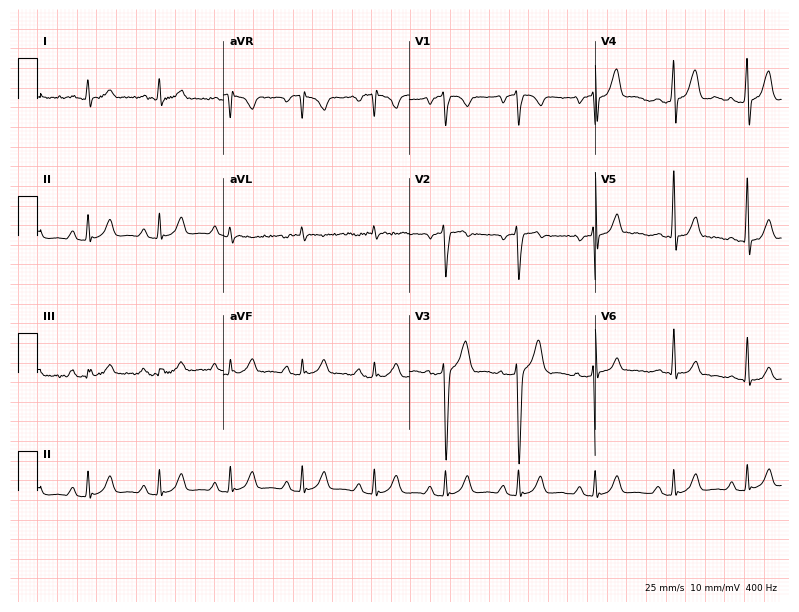
12-lead ECG from a 26-year-old male. Labelled as a normal ECG.